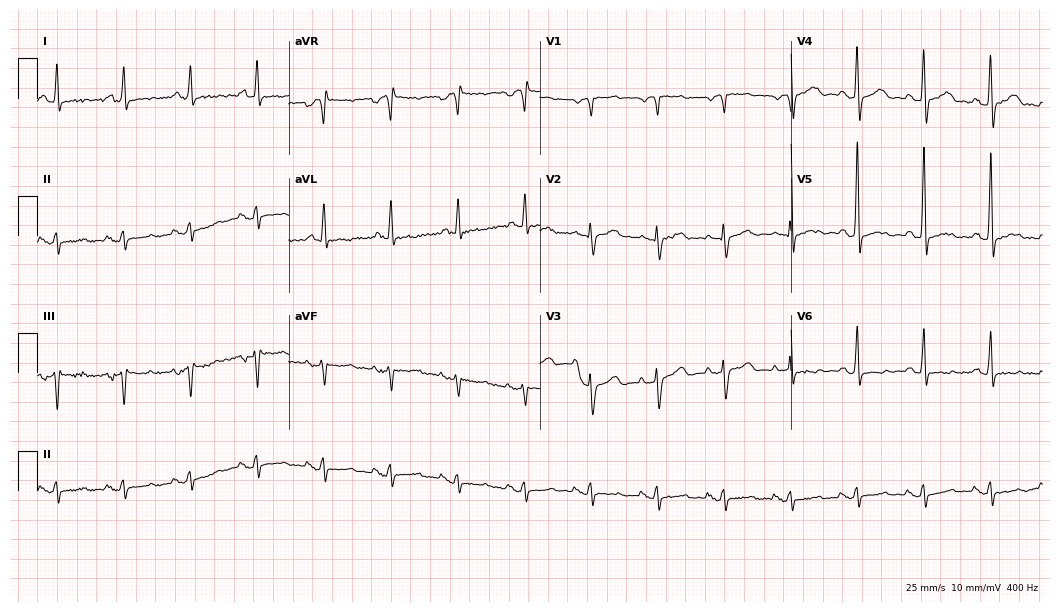
ECG (10.2-second recording at 400 Hz) — a male patient, 71 years old. Labelled as a normal ECG.